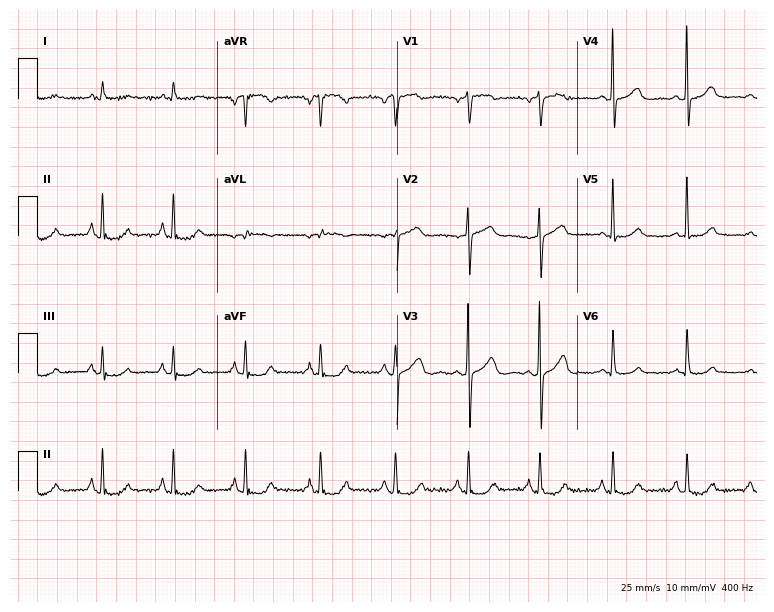
12-lead ECG from a man, 84 years old. No first-degree AV block, right bundle branch block (RBBB), left bundle branch block (LBBB), sinus bradycardia, atrial fibrillation (AF) or sinus tachycardia recorded for this tracing. Other findings, if any, are not listed.